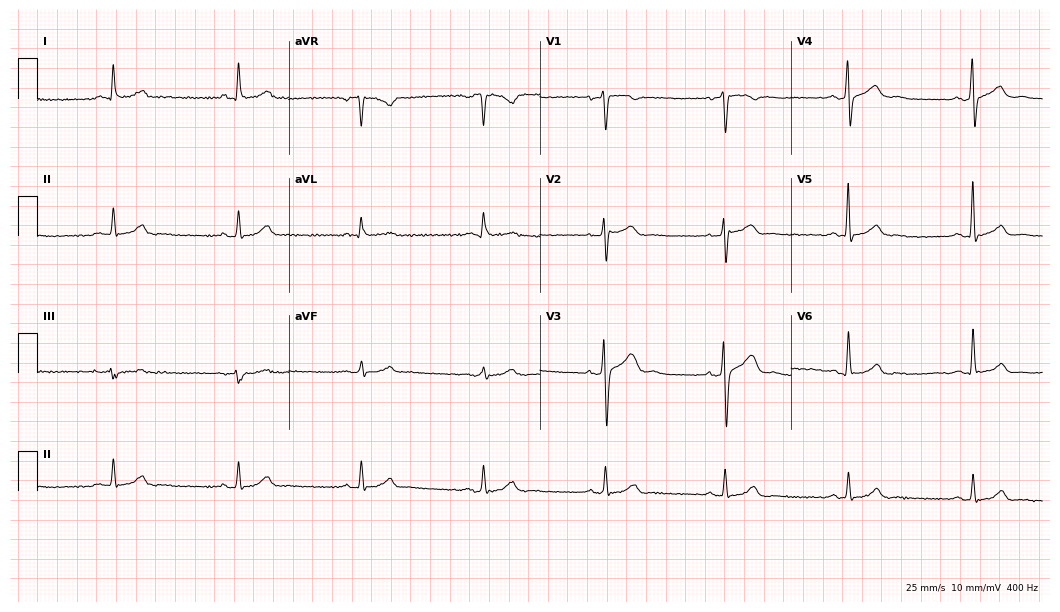
Resting 12-lead electrocardiogram (10.2-second recording at 400 Hz). Patient: a 63-year-old man. The tracing shows sinus bradycardia (a sinus rate of 50 beats per minute or less).